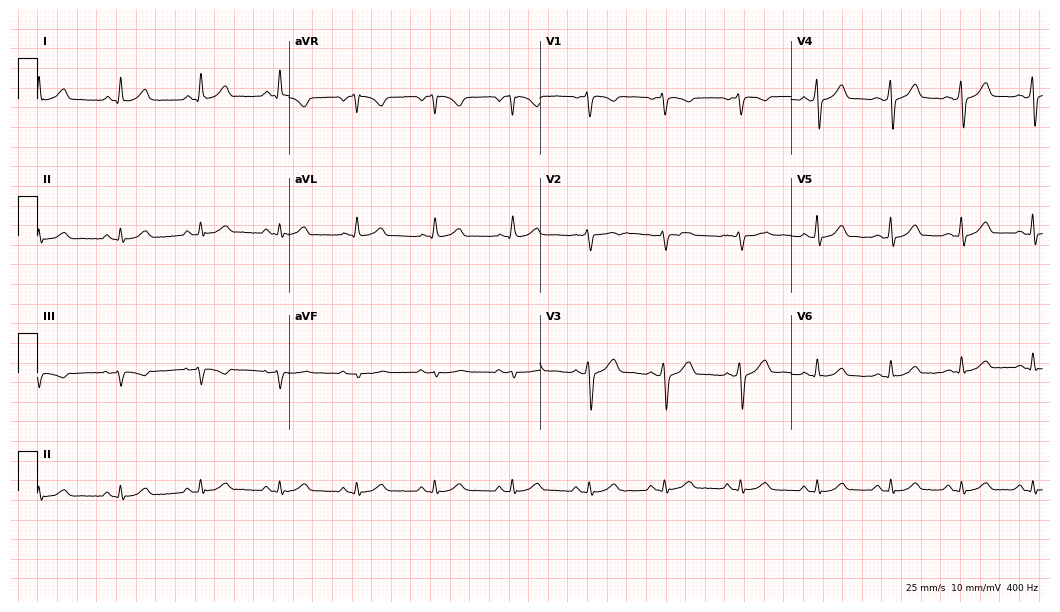
12-lead ECG from a man, 36 years old (10.2-second recording at 400 Hz). Recorded interpretation: within normal limits.